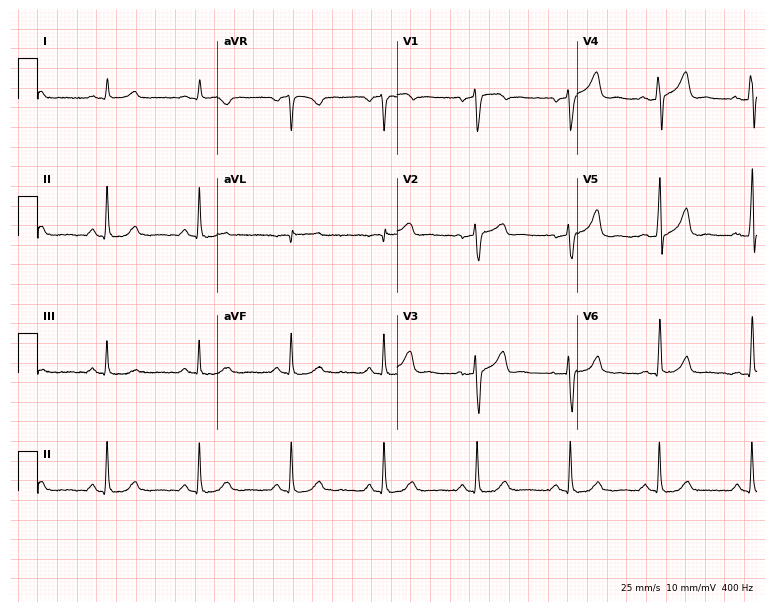
12-lead ECG from a 56-year-old man. Screened for six findings — first-degree AV block, right bundle branch block (RBBB), left bundle branch block (LBBB), sinus bradycardia, atrial fibrillation (AF), sinus tachycardia — none is recorded. Findings outside these six are not listed.